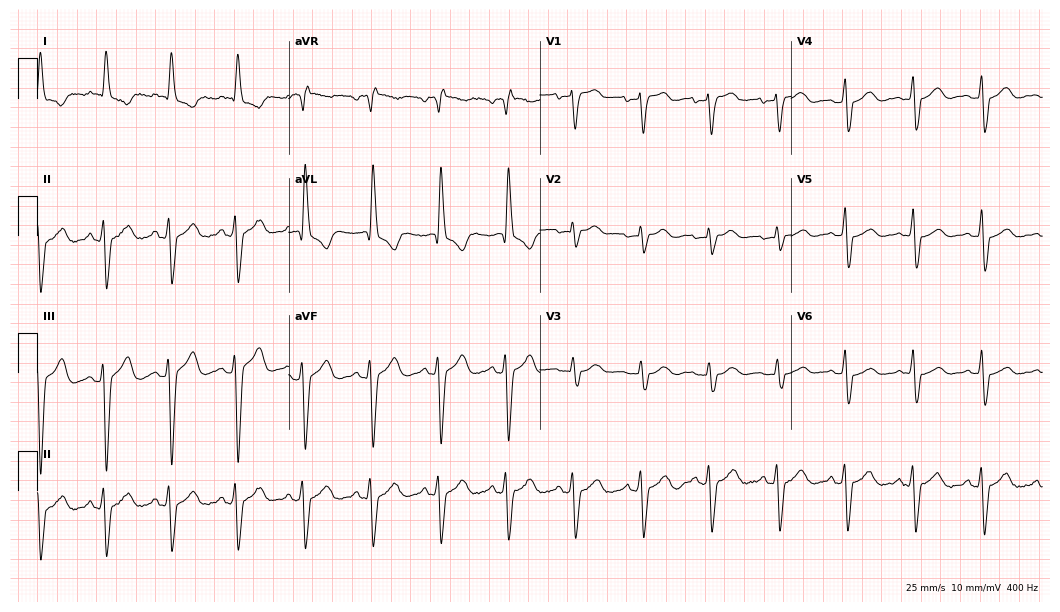
Standard 12-lead ECG recorded from a woman, 75 years old. None of these six findings is recorded: first-degree AV block, right bundle branch block (RBBB), left bundle branch block (LBBB), sinus bradycardia, atrial fibrillation (AF), sinus tachycardia. Other findings, if any, are not listed.